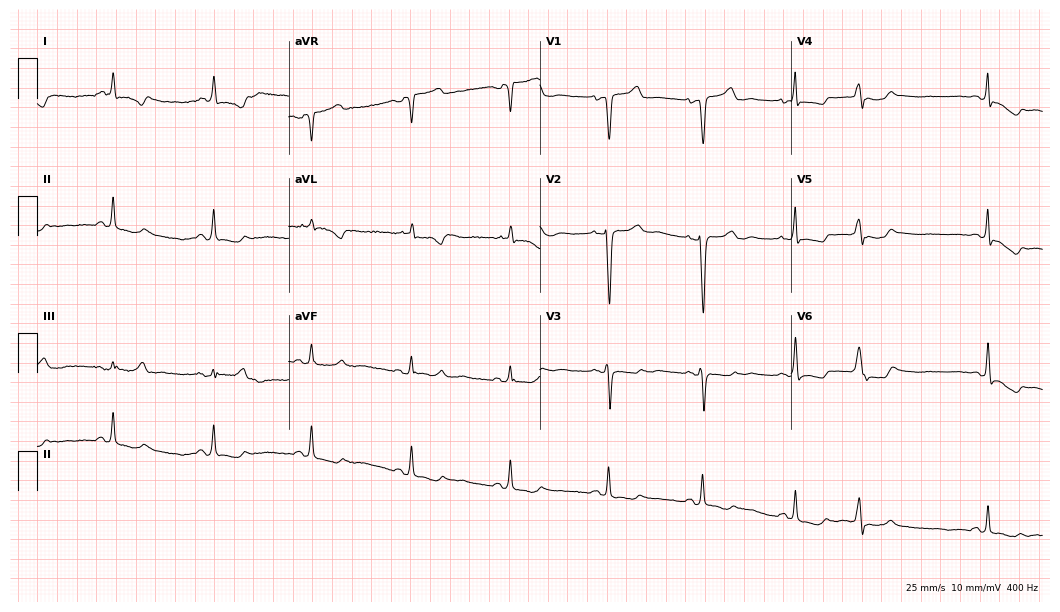
ECG — a 76-year-old woman. Screened for six findings — first-degree AV block, right bundle branch block, left bundle branch block, sinus bradycardia, atrial fibrillation, sinus tachycardia — none is recorded.